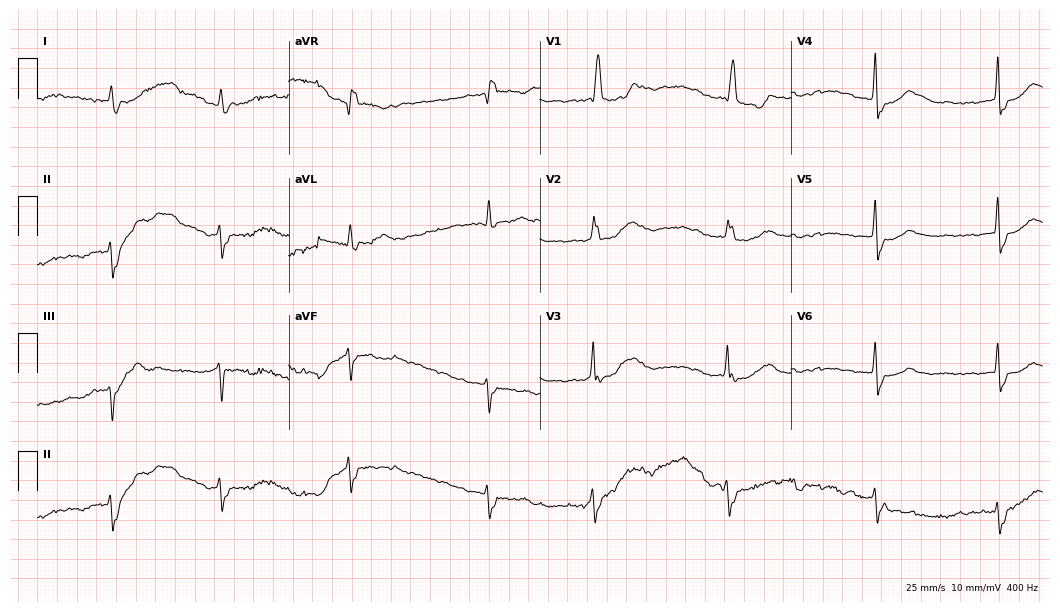
12-lead ECG from an 84-year-old male patient. No first-degree AV block, right bundle branch block, left bundle branch block, sinus bradycardia, atrial fibrillation or sinus tachycardia recorded for this tracing.